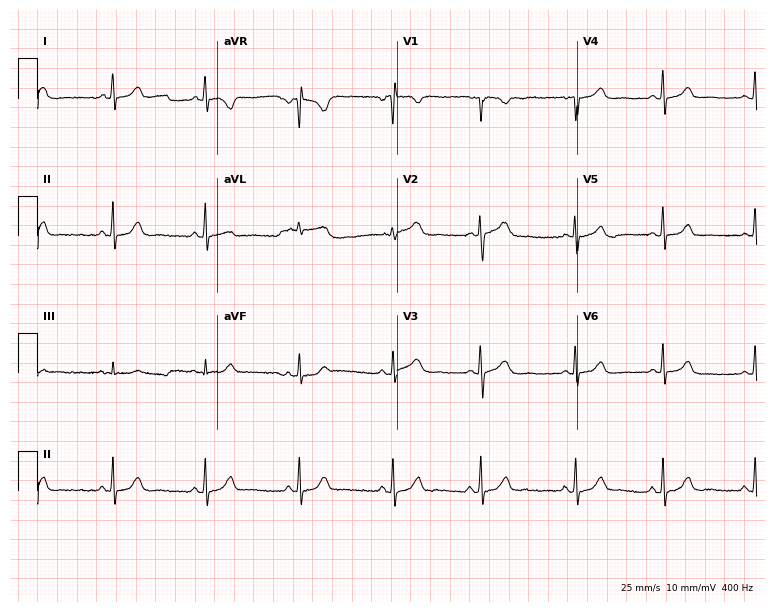
ECG (7.3-second recording at 400 Hz) — a female, 17 years old. Labelled as a normal ECG.